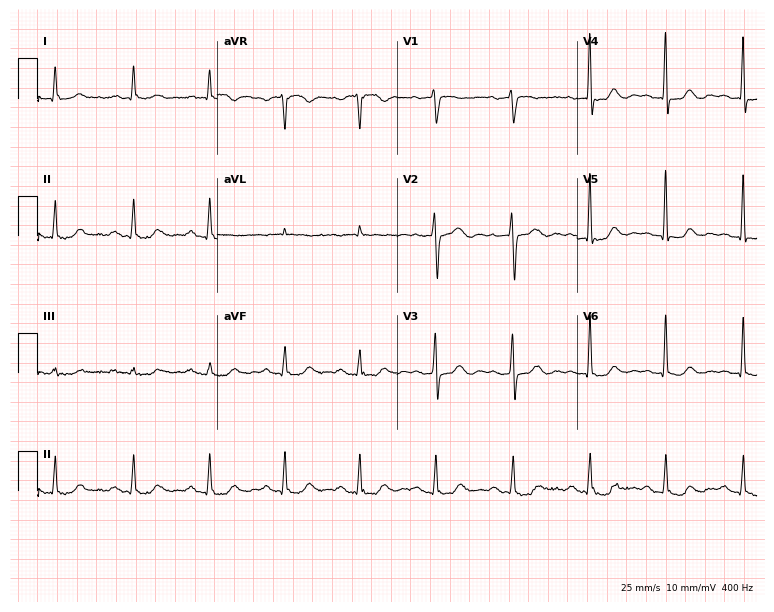
Standard 12-lead ECG recorded from a male, 69 years old (7.3-second recording at 400 Hz). None of these six findings is recorded: first-degree AV block, right bundle branch block, left bundle branch block, sinus bradycardia, atrial fibrillation, sinus tachycardia. Only these six findings were labelled.